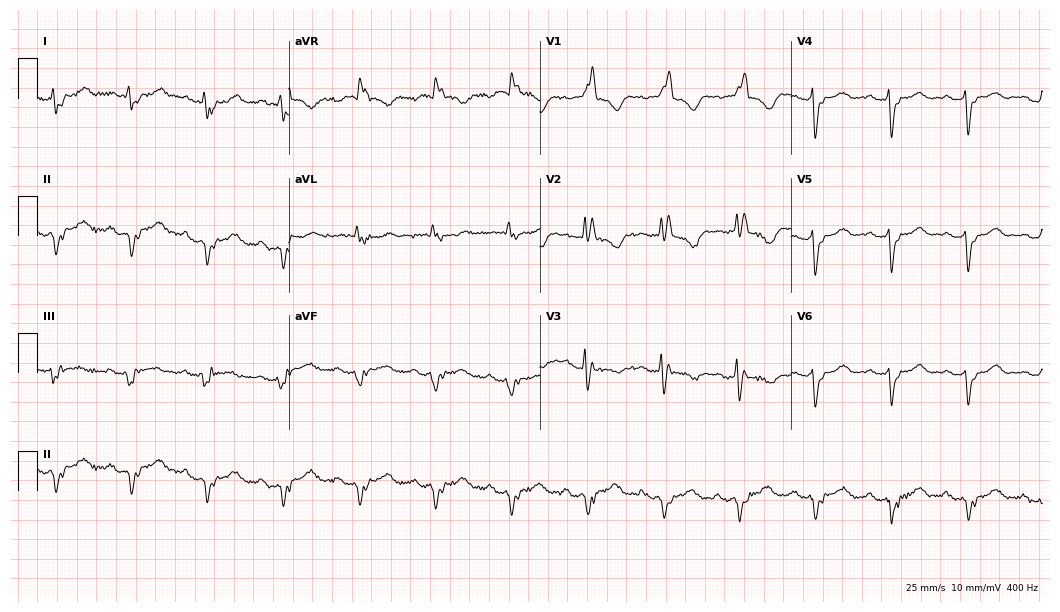
12-lead ECG (10.2-second recording at 400 Hz) from an 82-year-old female. Findings include right bundle branch block.